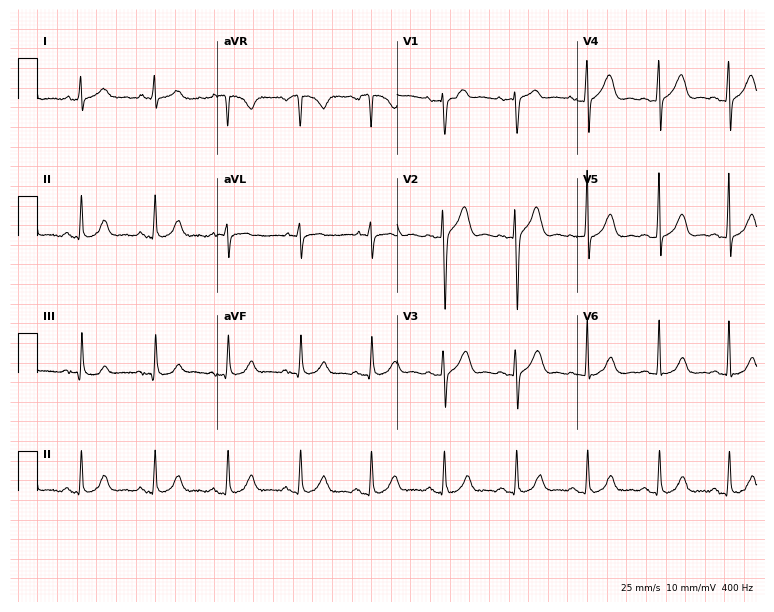
Standard 12-lead ECG recorded from a 64-year-old male patient. Read as a normal ECG.